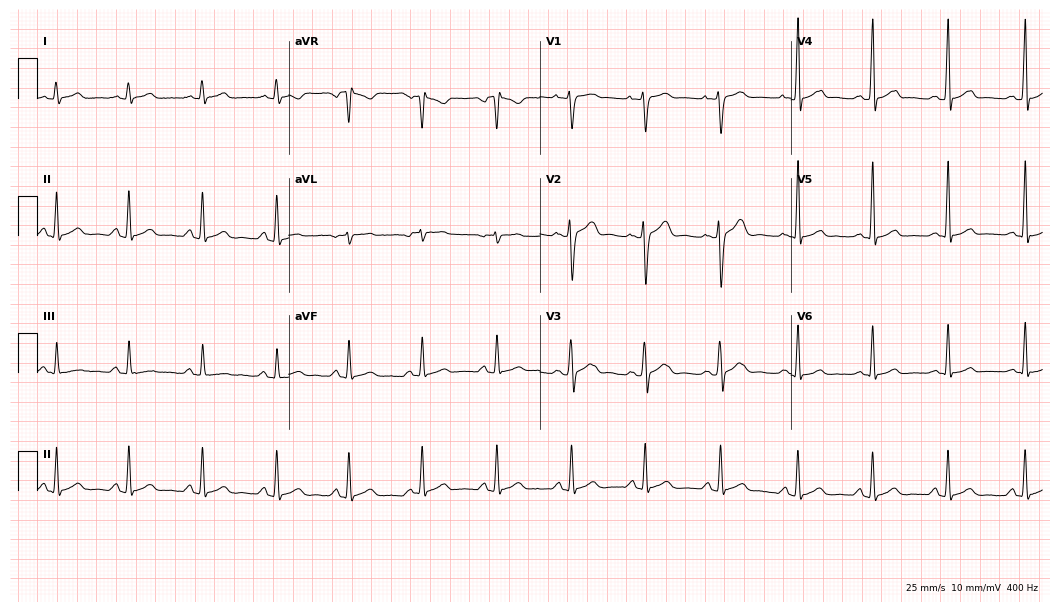
12-lead ECG from a man, 20 years old. Recorded interpretation: within normal limits.